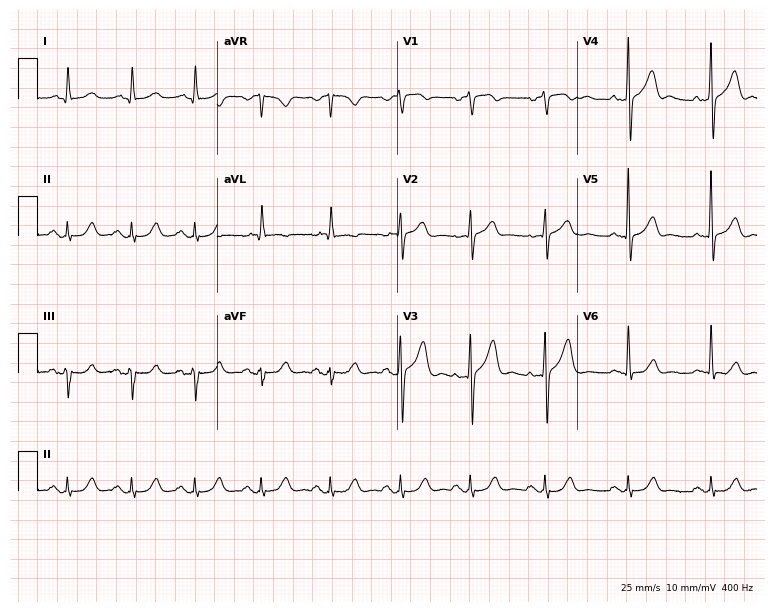
Resting 12-lead electrocardiogram (7.3-second recording at 400 Hz). Patient: a 73-year-old male. None of these six findings is recorded: first-degree AV block, right bundle branch block, left bundle branch block, sinus bradycardia, atrial fibrillation, sinus tachycardia. Only these six findings were labelled.